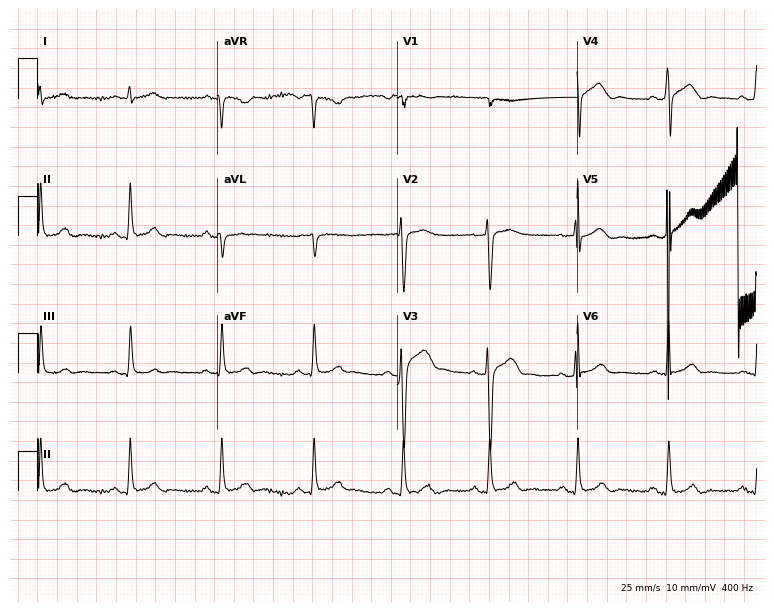
12-lead ECG from a man, 47 years old. Labelled as a normal ECG.